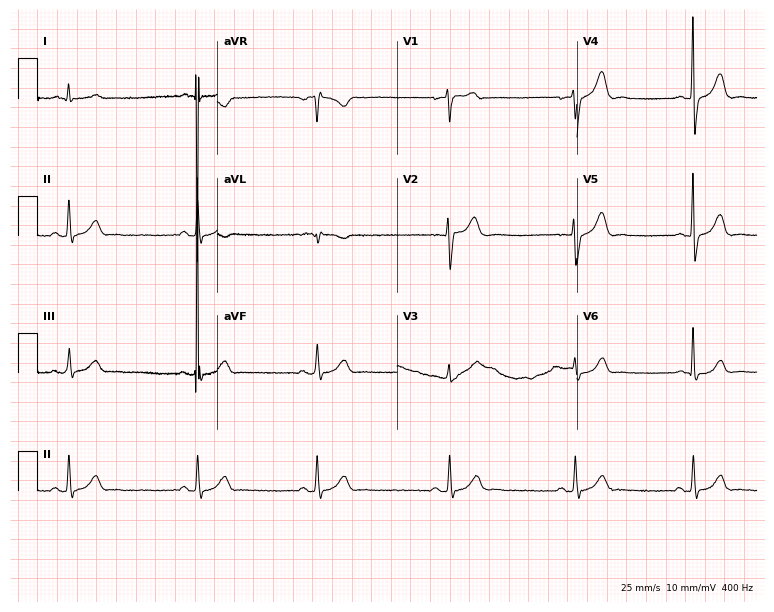
12-lead ECG from a male, 21 years old. Shows sinus bradycardia (a sinus rate of 50 beats per minute or less).